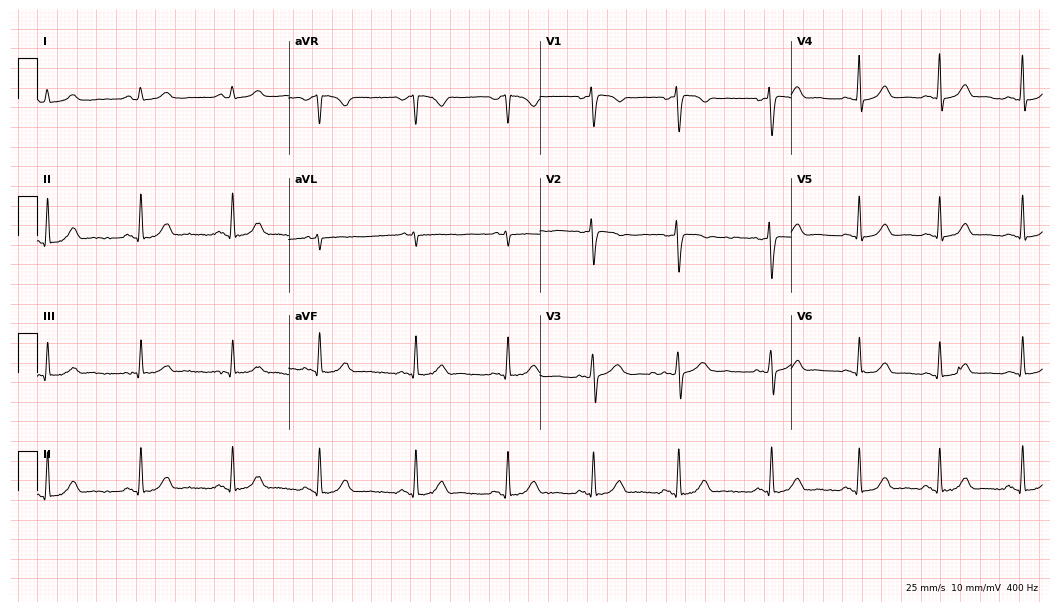
12-lead ECG (10.2-second recording at 400 Hz) from a 28-year-old female patient. Screened for six findings — first-degree AV block, right bundle branch block, left bundle branch block, sinus bradycardia, atrial fibrillation, sinus tachycardia — none is recorded. Only these six findings were labelled.